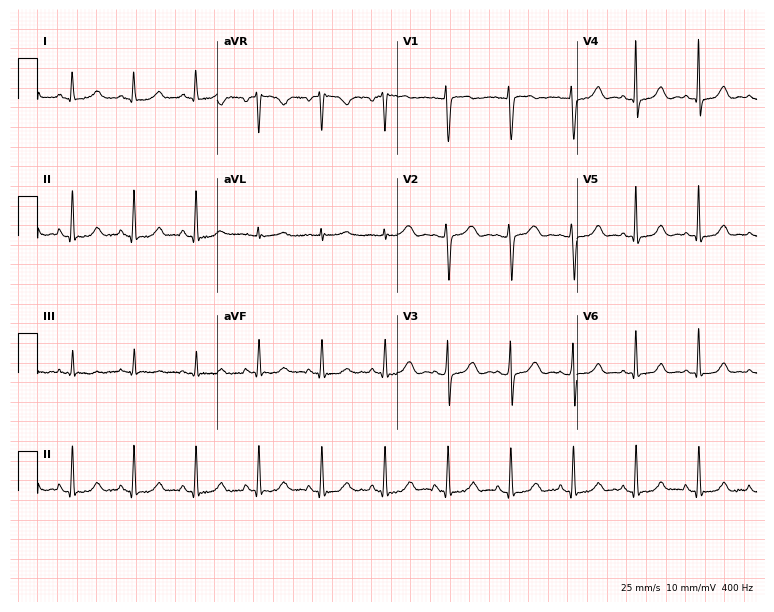
Resting 12-lead electrocardiogram. Patient: a female, 42 years old. Read as a normal ECG.